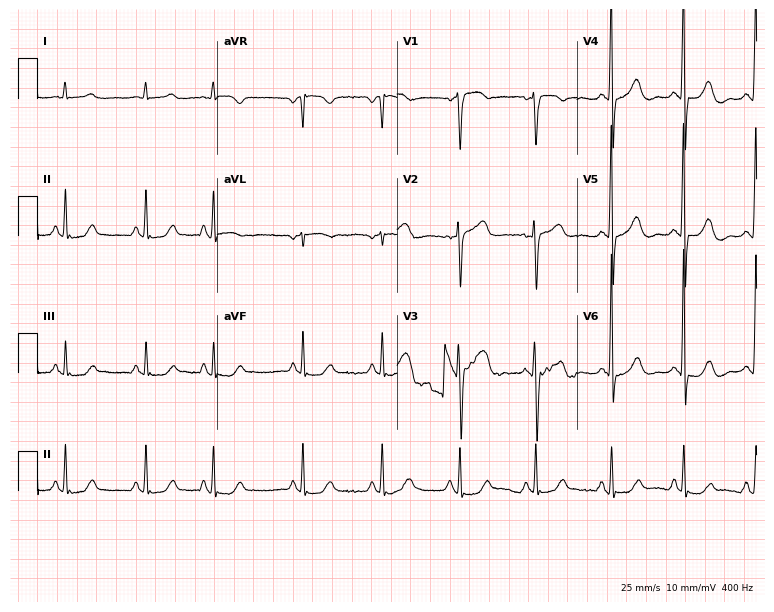
12-lead ECG from a 29-year-old female (7.3-second recording at 400 Hz). No first-degree AV block, right bundle branch block, left bundle branch block, sinus bradycardia, atrial fibrillation or sinus tachycardia recorded for this tracing.